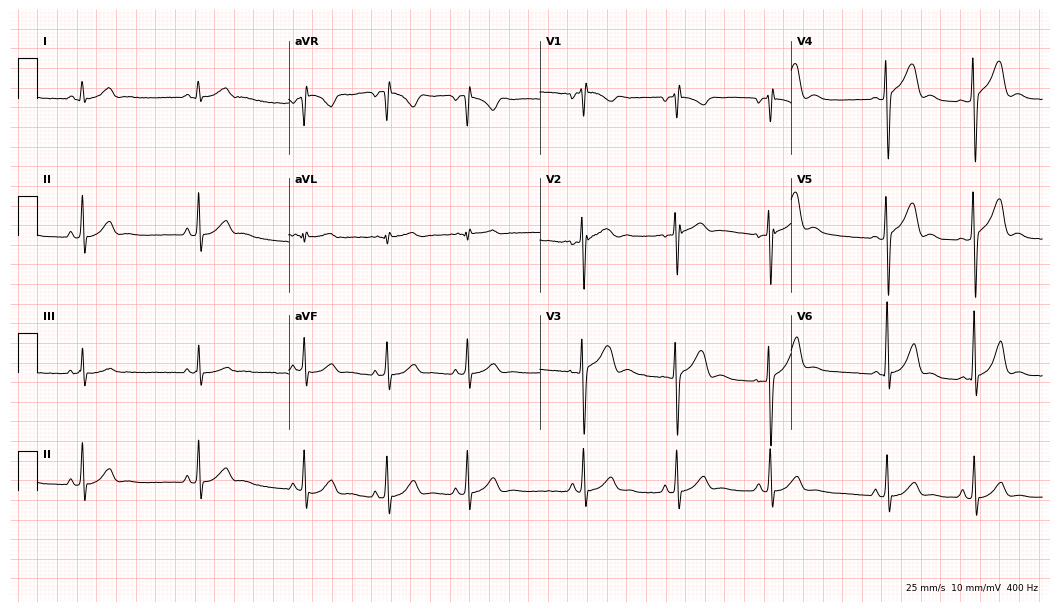
Electrocardiogram, a man, 17 years old. Overall reading on record: normal ECG.